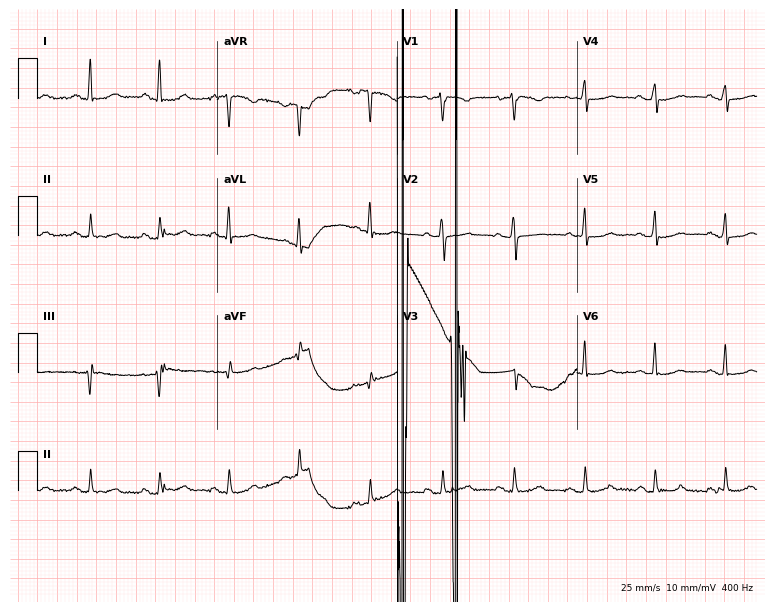
12-lead ECG from a woman, 44 years old. Screened for six findings — first-degree AV block, right bundle branch block, left bundle branch block, sinus bradycardia, atrial fibrillation, sinus tachycardia — none is recorded. Only these six findings were labelled.